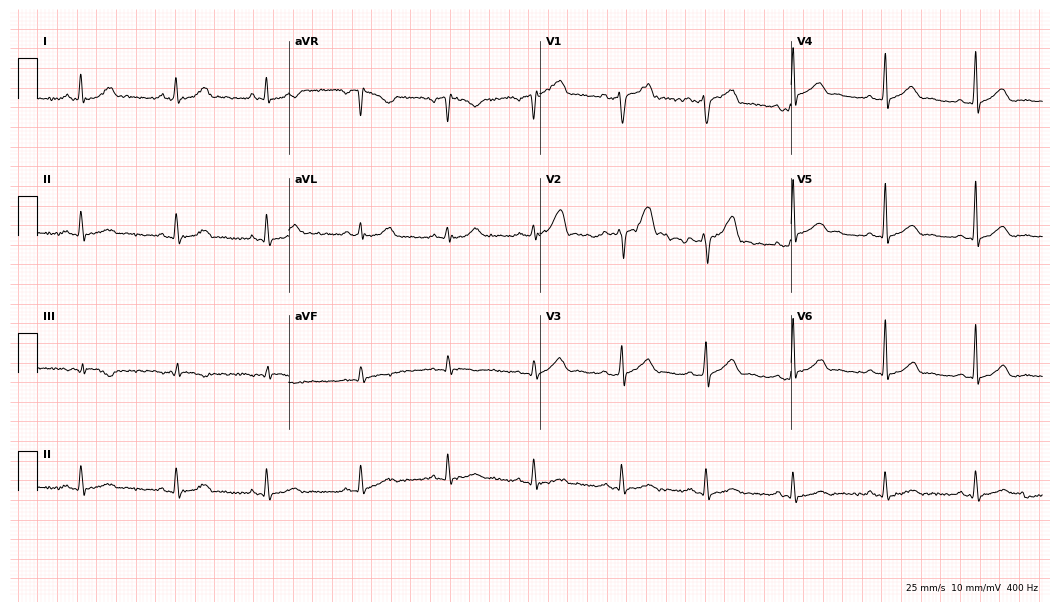
Standard 12-lead ECG recorded from a man, 25 years old. Read as a normal ECG.